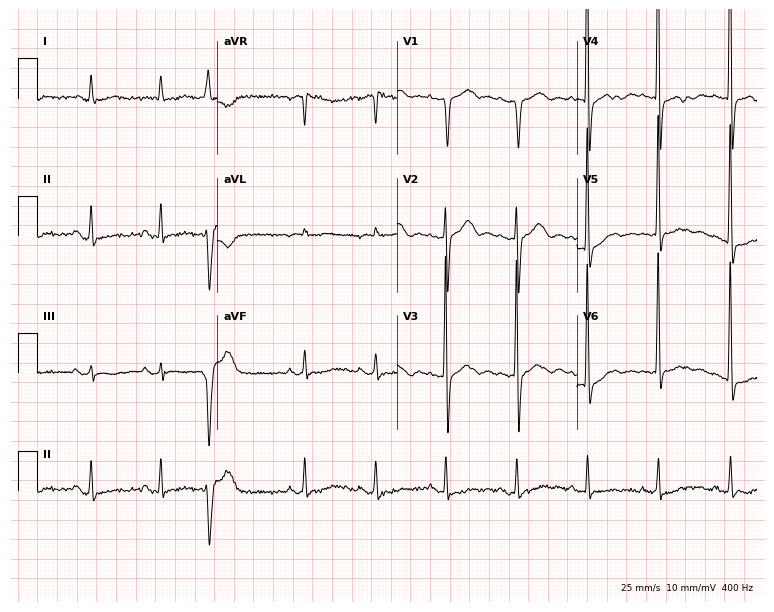
Resting 12-lead electrocardiogram (7.3-second recording at 400 Hz). Patient: an 83-year-old female. None of these six findings is recorded: first-degree AV block, right bundle branch block, left bundle branch block, sinus bradycardia, atrial fibrillation, sinus tachycardia. Findings outside these six are not listed.